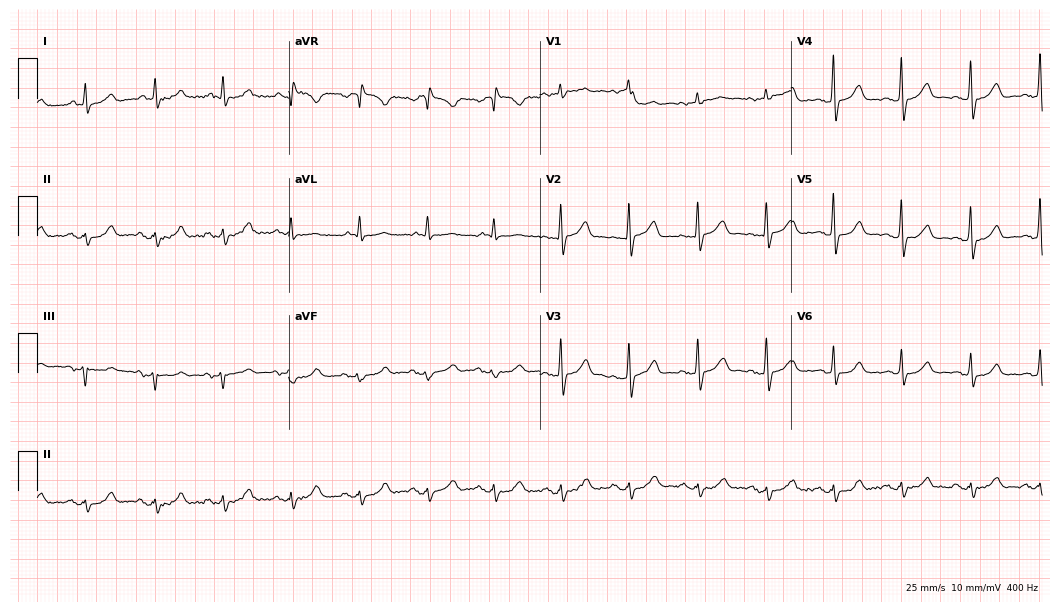
Electrocardiogram (10.2-second recording at 400 Hz), a man, 76 years old. Of the six screened findings (first-degree AV block, right bundle branch block, left bundle branch block, sinus bradycardia, atrial fibrillation, sinus tachycardia), none is recorded. Other findings, if any, are not listed.